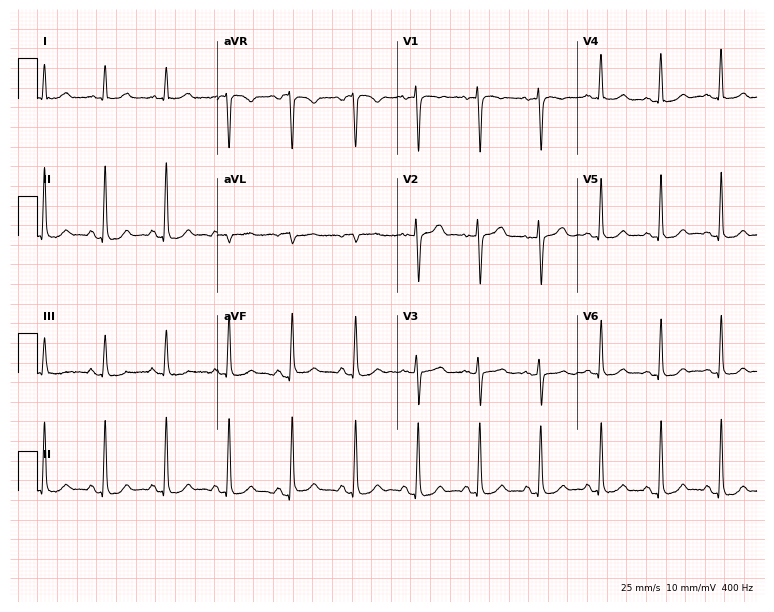
Electrocardiogram (7.3-second recording at 400 Hz), a 34-year-old woman. Overall reading on record: normal ECG.